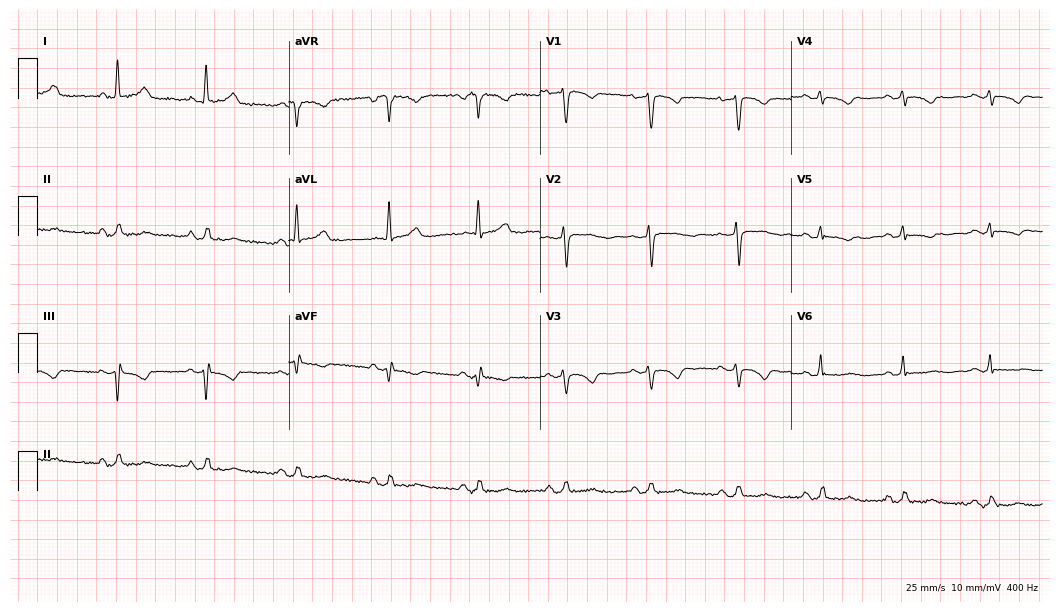
12-lead ECG from a 60-year-old female patient (10.2-second recording at 400 Hz). No first-degree AV block, right bundle branch block (RBBB), left bundle branch block (LBBB), sinus bradycardia, atrial fibrillation (AF) or sinus tachycardia recorded for this tracing. Other findings, if any, are not listed.